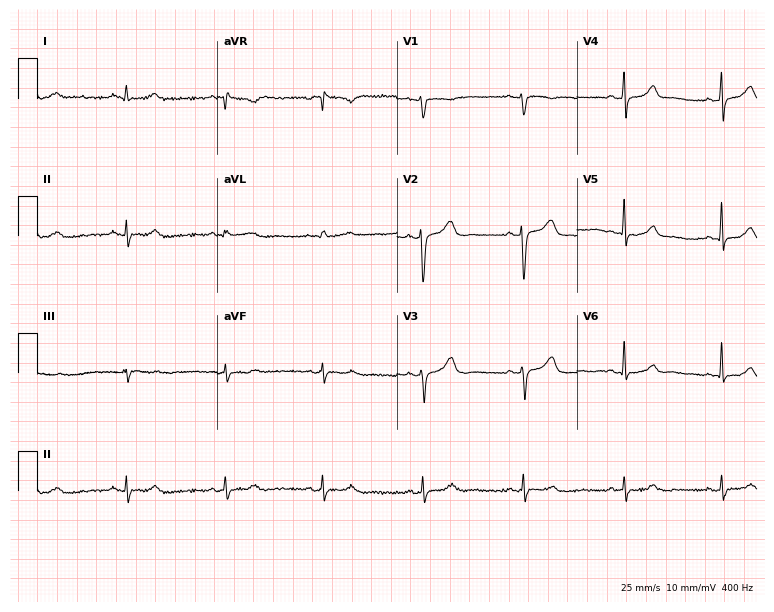
Standard 12-lead ECG recorded from a 44-year-old female patient (7.3-second recording at 400 Hz). None of these six findings is recorded: first-degree AV block, right bundle branch block, left bundle branch block, sinus bradycardia, atrial fibrillation, sinus tachycardia. Findings outside these six are not listed.